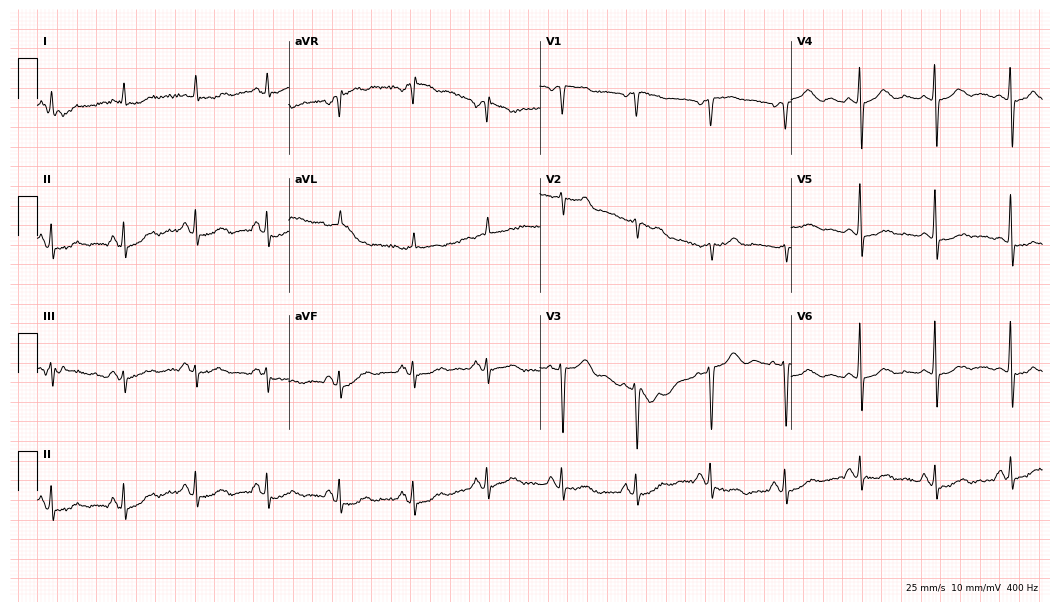
Electrocardiogram, an 80-year-old female patient. Of the six screened findings (first-degree AV block, right bundle branch block (RBBB), left bundle branch block (LBBB), sinus bradycardia, atrial fibrillation (AF), sinus tachycardia), none is recorded.